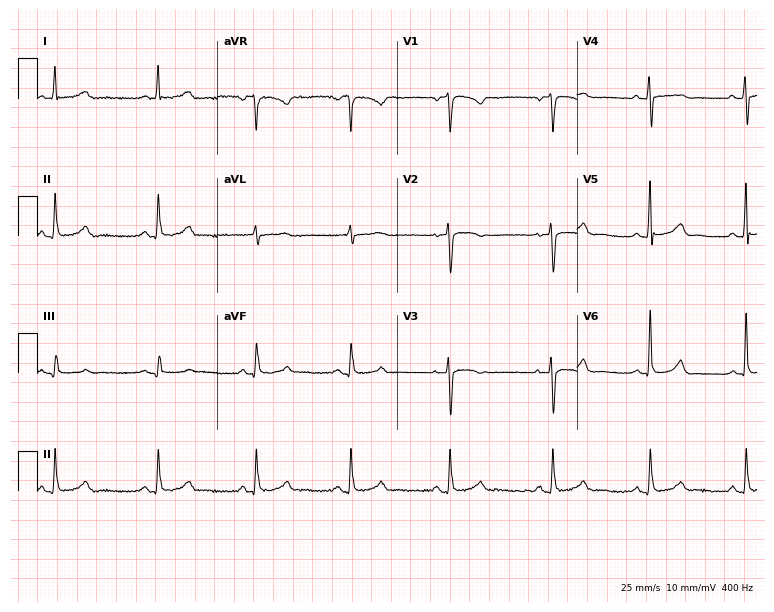
12-lead ECG from a 52-year-old female (7.3-second recording at 400 Hz). Recorded interpretation: within normal limits.